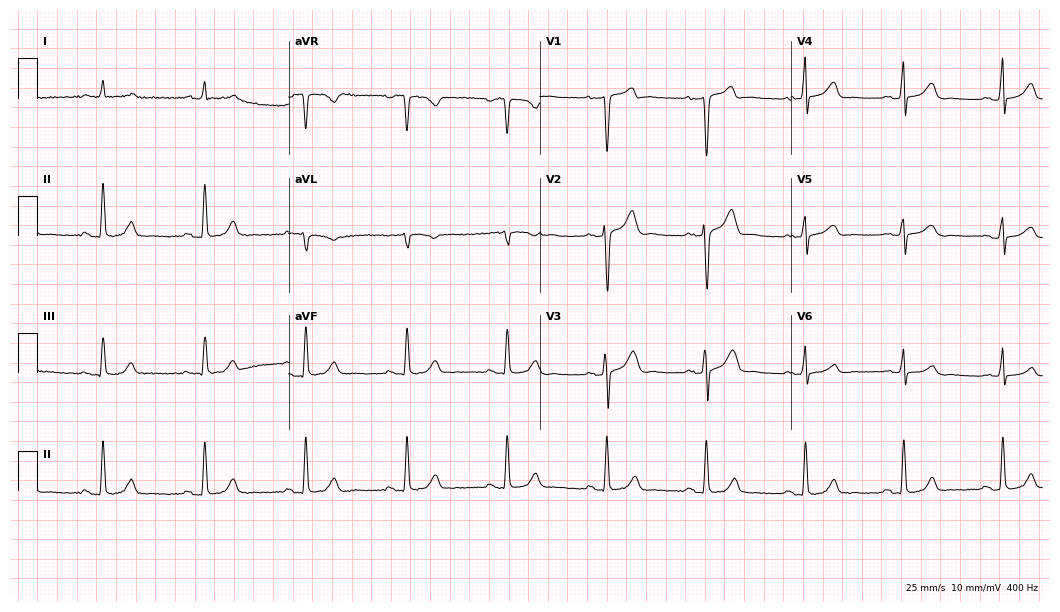
Standard 12-lead ECG recorded from a man, 70 years old (10.2-second recording at 400 Hz). Read as a normal ECG.